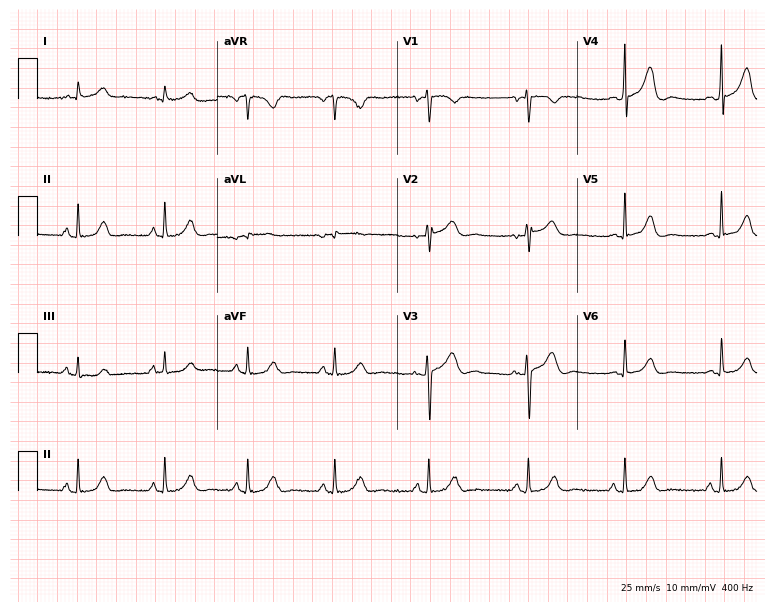
Resting 12-lead electrocardiogram (7.3-second recording at 400 Hz). Patient: a woman, 53 years old. None of these six findings is recorded: first-degree AV block, right bundle branch block (RBBB), left bundle branch block (LBBB), sinus bradycardia, atrial fibrillation (AF), sinus tachycardia. Other findings, if any, are not listed.